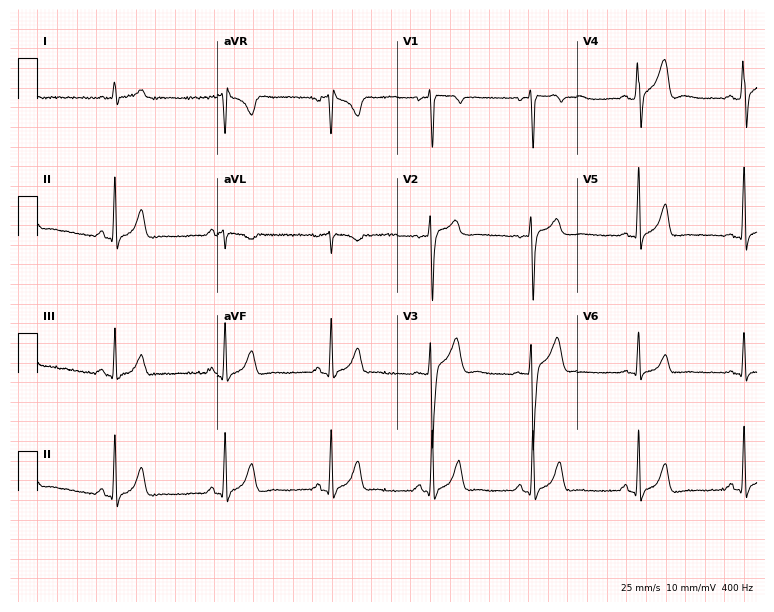
Standard 12-lead ECG recorded from a man, 33 years old. Read as a normal ECG.